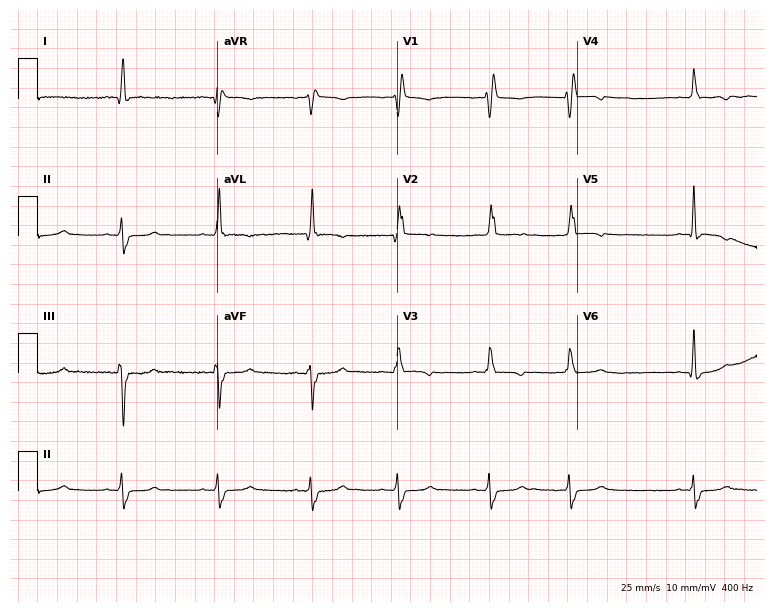
12-lead ECG from a 31-year-old female (7.3-second recording at 400 Hz). Shows right bundle branch block, atrial fibrillation.